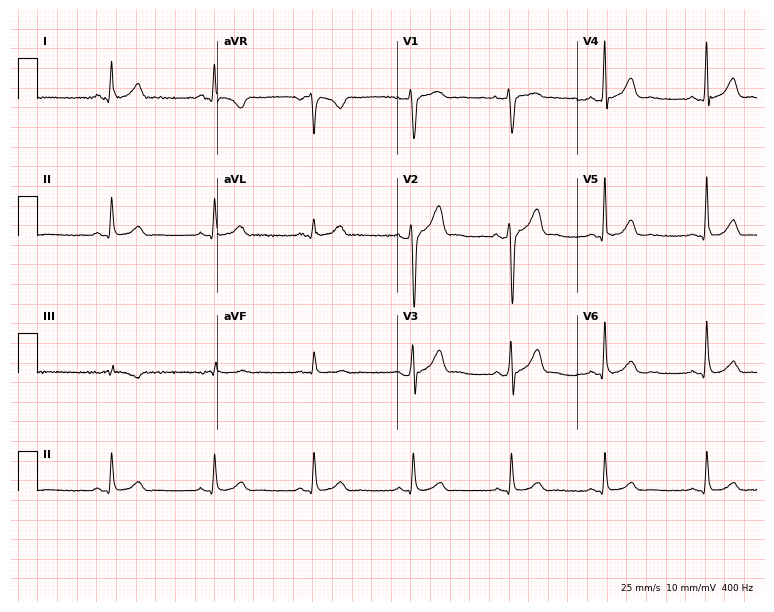
Resting 12-lead electrocardiogram. Patient: a 34-year-old male. None of these six findings is recorded: first-degree AV block, right bundle branch block, left bundle branch block, sinus bradycardia, atrial fibrillation, sinus tachycardia.